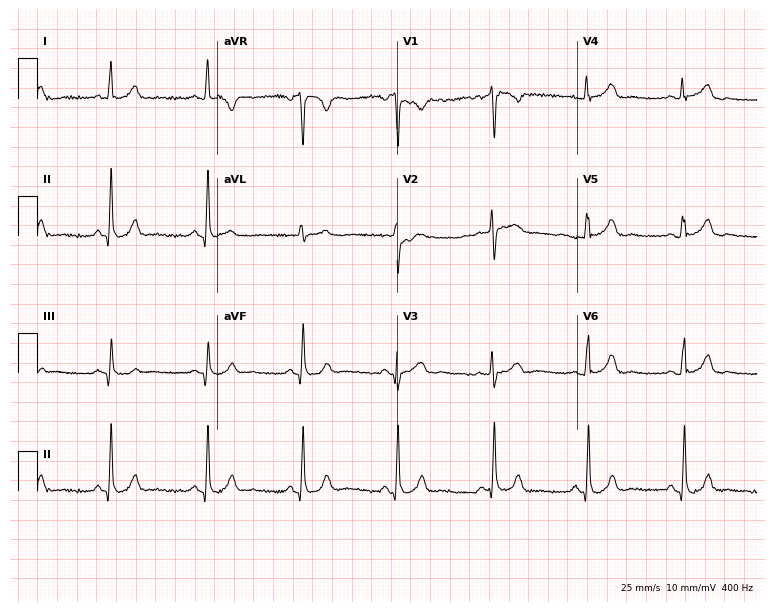
Resting 12-lead electrocardiogram. Patient: a 39-year-old female. None of these six findings is recorded: first-degree AV block, right bundle branch block, left bundle branch block, sinus bradycardia, atrial fibrillation, sinus tachycardia.